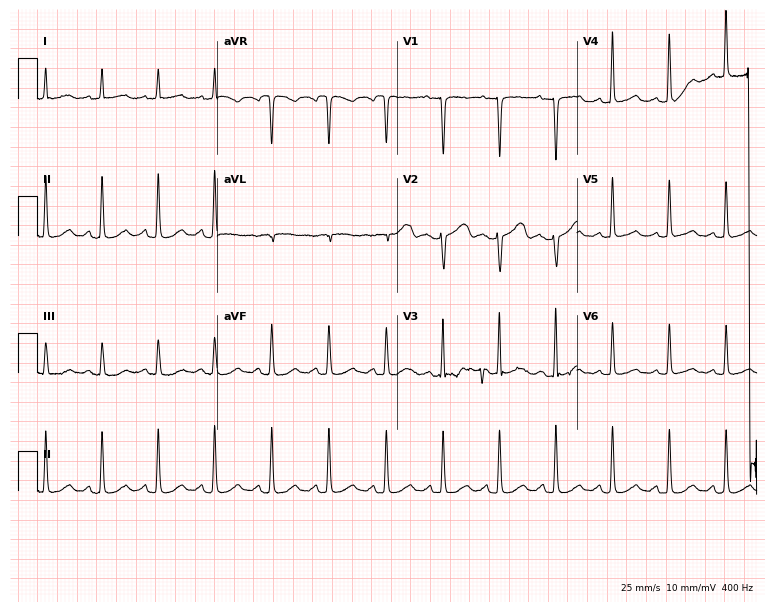
Standard 12-lead ECG recorded from a female patient, 55 years old. None of these six findings is recorded: first-degree AV block, right bundle branch block (RBBB), left bundle branch block (LBBB), sinus bradycardia, atrial fibrillation (AF), sinus tachycardia.